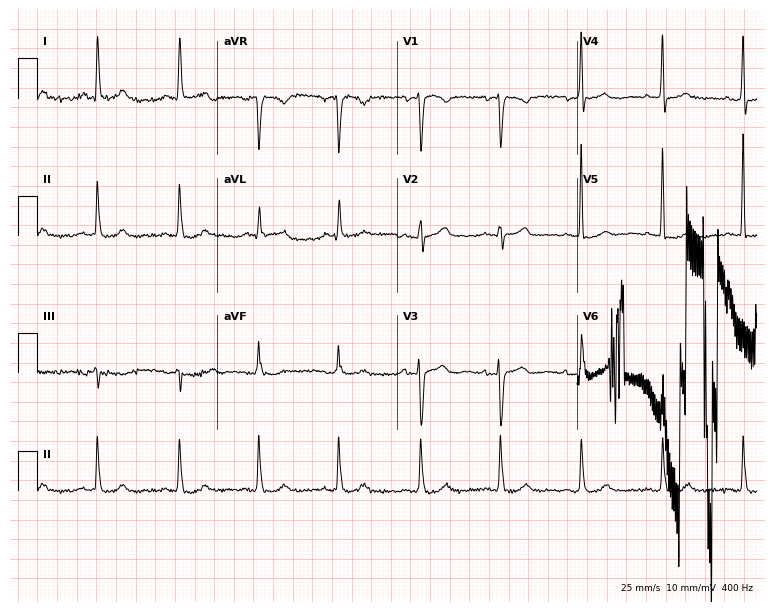
Resting 12-lead electrocardiogram. Patient: a 74-year-old female. None of these six findings is recorded: first-degree AV block, right bundle branch block, left bundle branch block, sinus bradycardia, atrial fibrillation, sinus tachycardia.